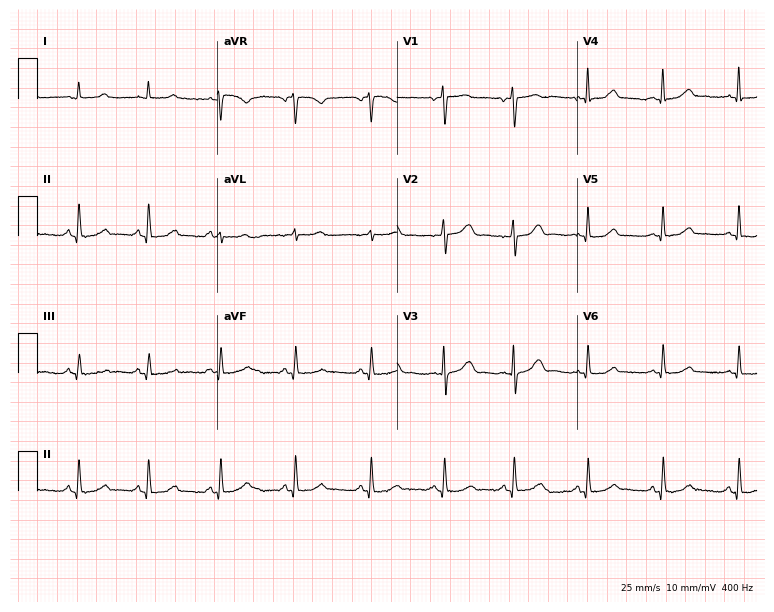
Resting 12-lead electrocardiogram. Patient: a 44-year-old woman. Read as a normal ECG.